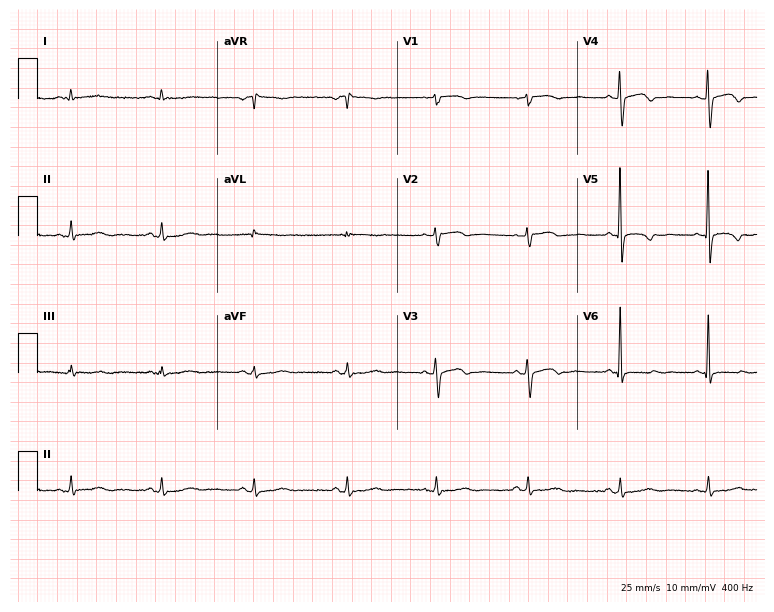
12-lead ECG (7.3-second recording at 400 Hz) from a female, 61 years old. Screened for six findings — first-degree AV block, right bundle branch block (RBBB), left bundle branch block (LBBB), sinus bradycardia, atrial fibrillation (AF), sinus tachycardia — none is recorded.